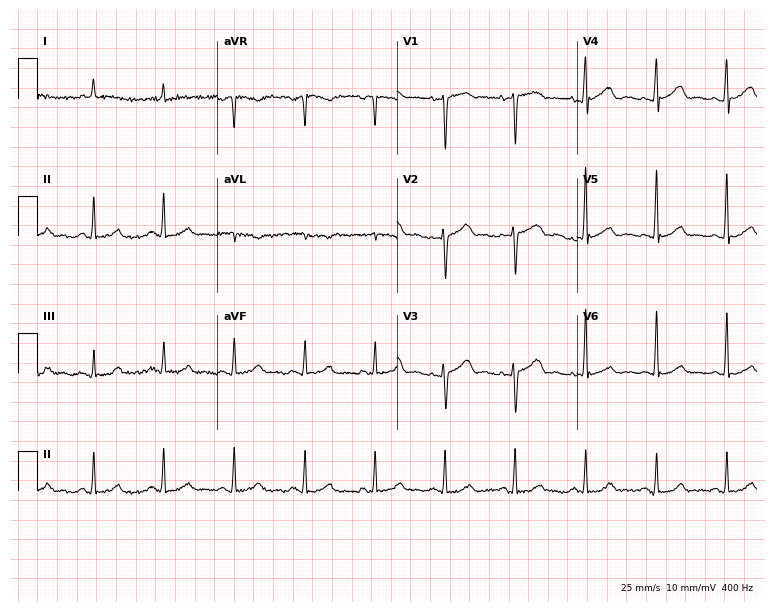
12-lead ECG from a female patient, 72 years old (7.3-second recording at 400 Hz). Recorded interpretation: within normal limits.